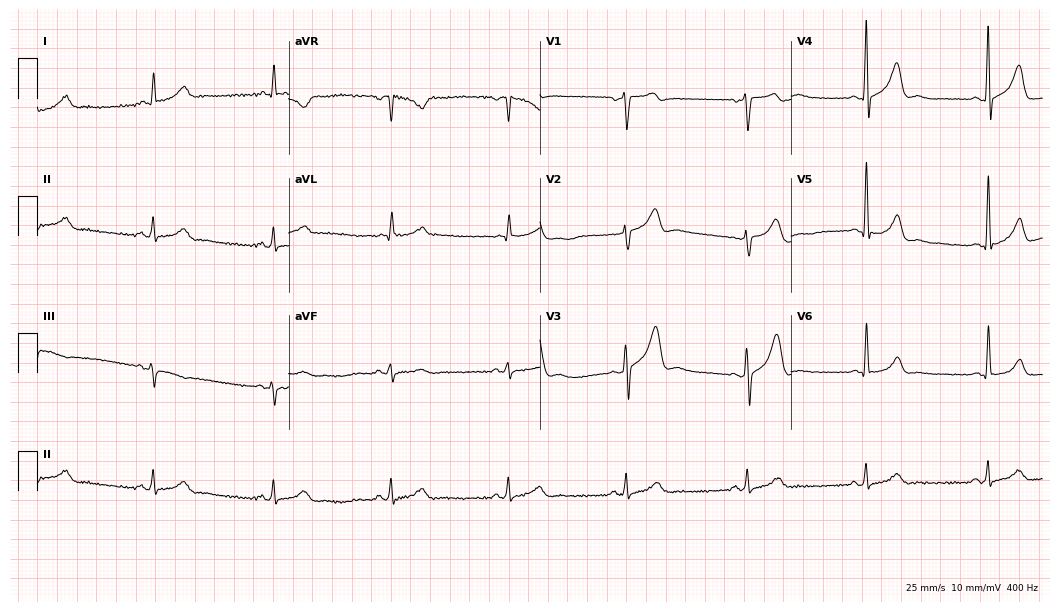
ECG — a 59-year-old male patient. Findings include sinus bradycardia (a sinus rate of 50 beats per minute or less).